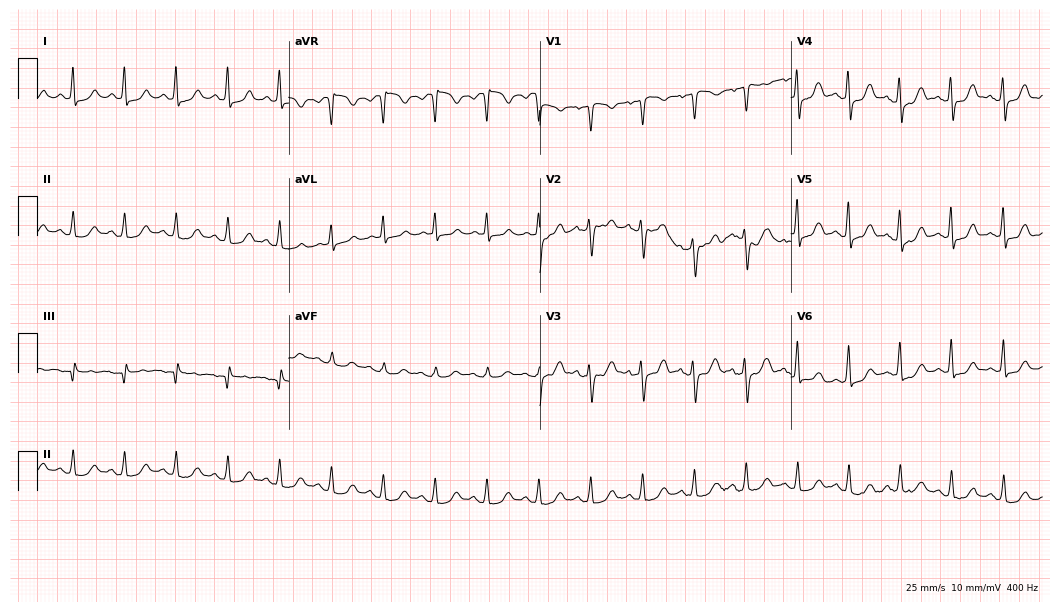
Standard 12-lead ECG recorded from a 62-year-old female (10.2-second recording at 400 Hz). The tracing shows sinus tachycardia (a sinus rate of 100 beats per minute or more).